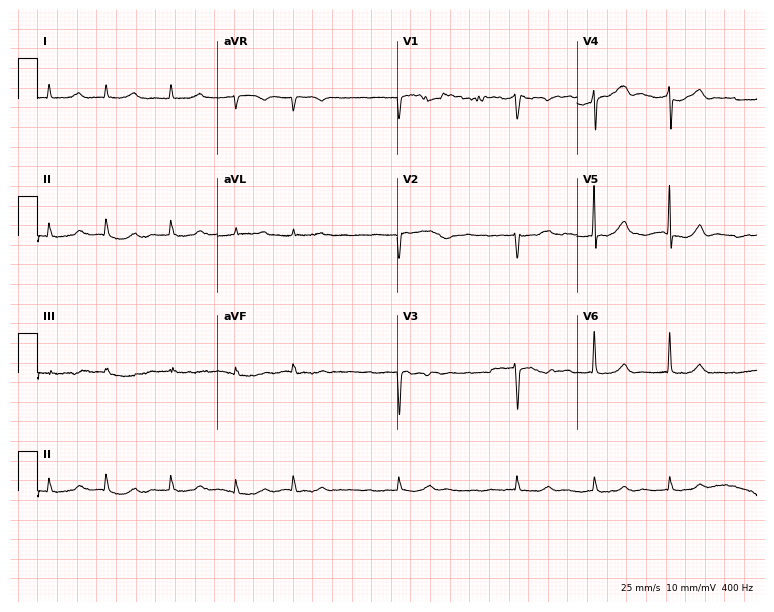
ECG (7.3-second recording at 400 Hz) — a 75-year-old female patient. Findings include atrial fibrillation (AF).